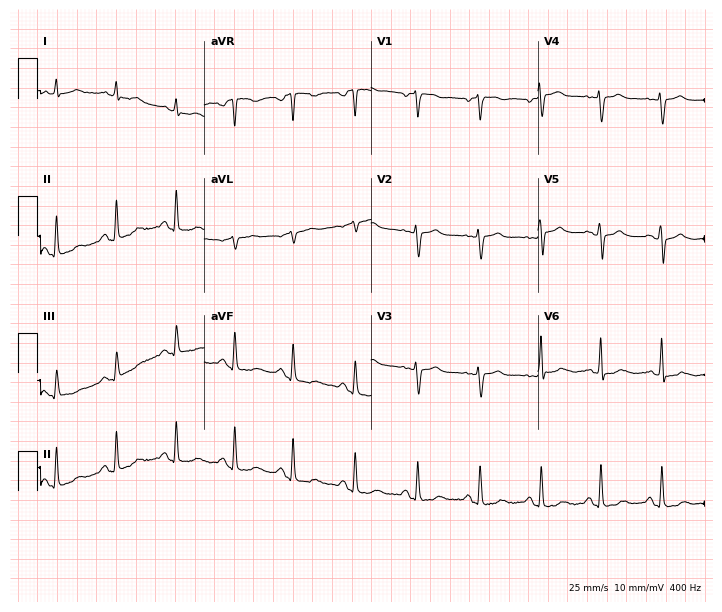
Resting 12-lead electrocardiogram. Patient: a 53-year-old woman. None of these six findings is recorded: first-degree AV block, right bundle branch block, left bundle branch block, sinus bradycardia, atrial fibrillation, sinus tachycardia. Only these six findings were labelled.